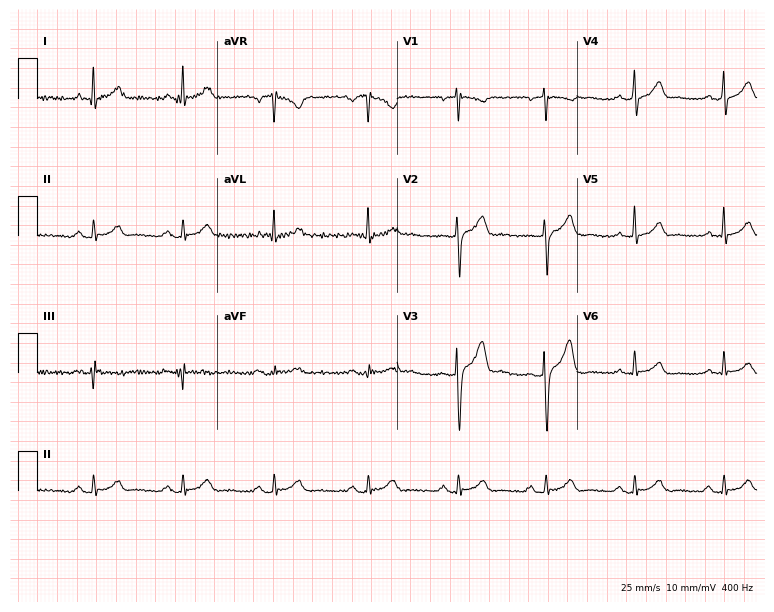
12-lead ECG from a male patient, 40 years old. Screened for six findings — first-degree AV block, right bundle branch block, left bundle branch block, sinus bradycardia, atrial fibrillation, sinus tachycardia — none is recorded.